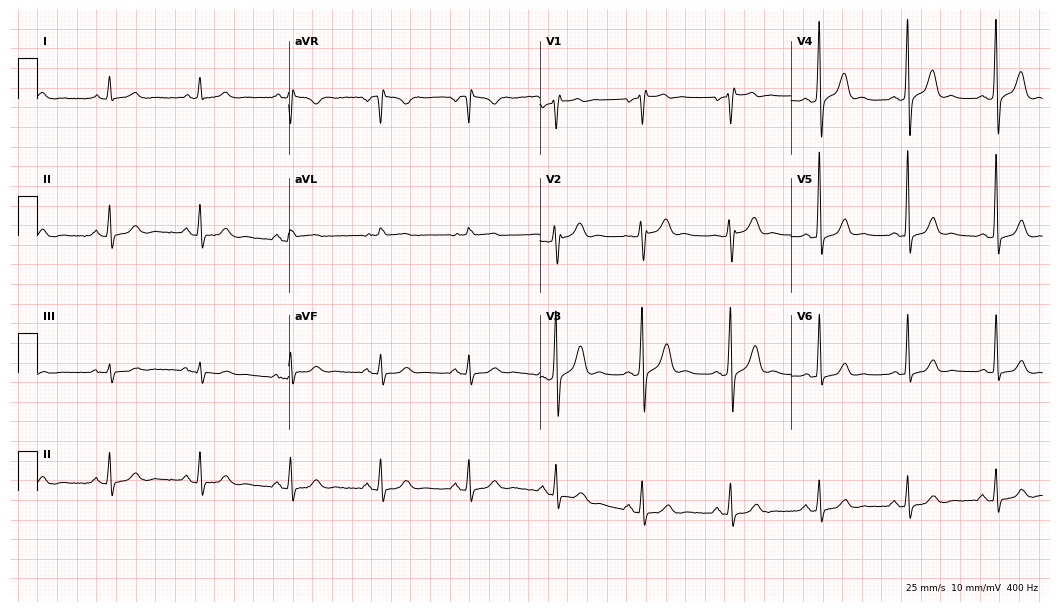
ECG — a male, 49 years old. Labelled as a normal ECG.